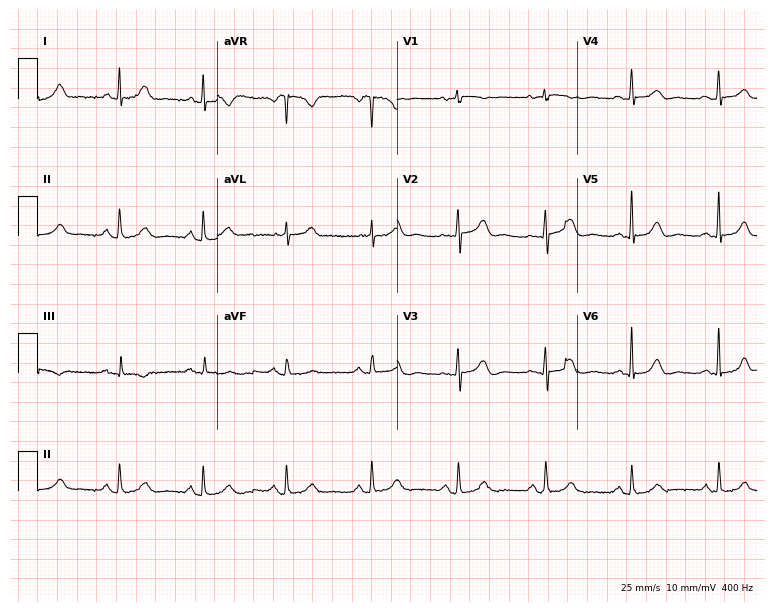
Electrocardiogram, a woman, 82 years old. Overall reading on record: normal ECG.